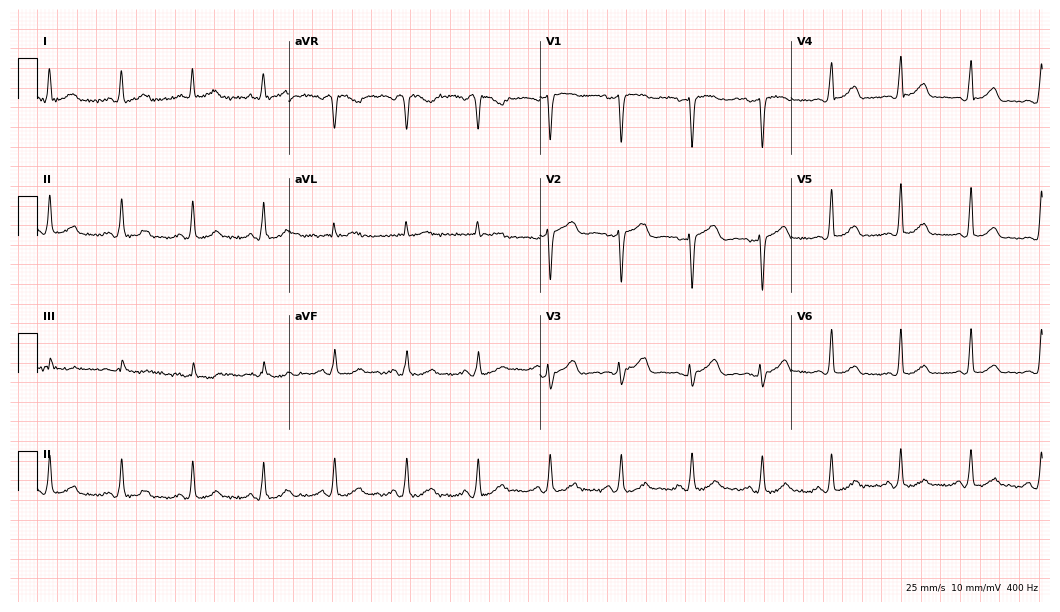
12-lead ECG from a 55-year-old female. Labelled as a normal ECG.